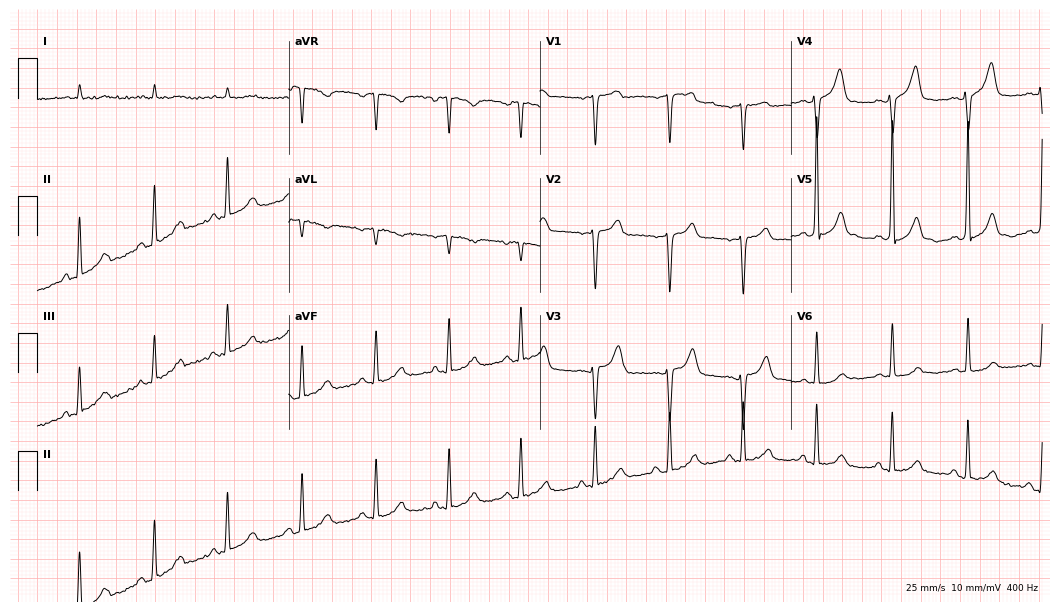
12-lead ECG (10.2-second recording at 400 Hz) from an 84-year-old female patient. Labelled as a normal ECG.